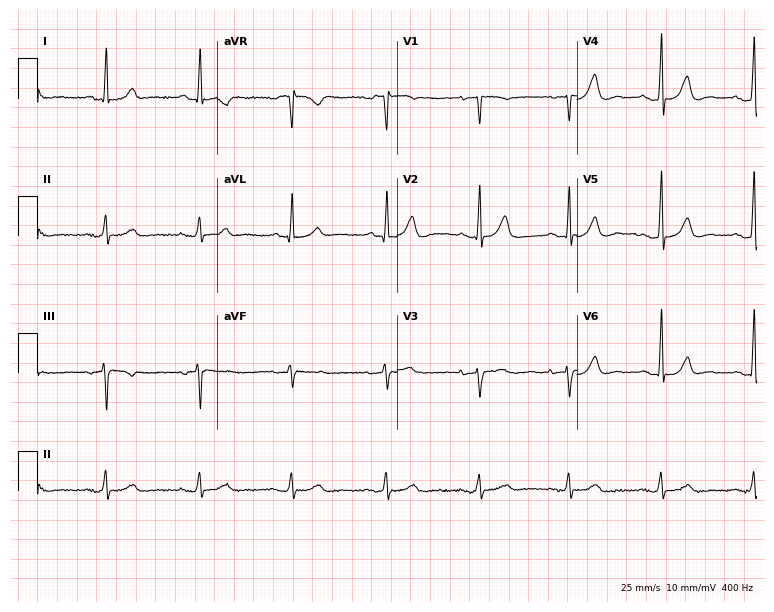
12-lead ECG (7.3-second recording at 400 Hz) from a 47-year-old woman. Labelled as a normal ECG.